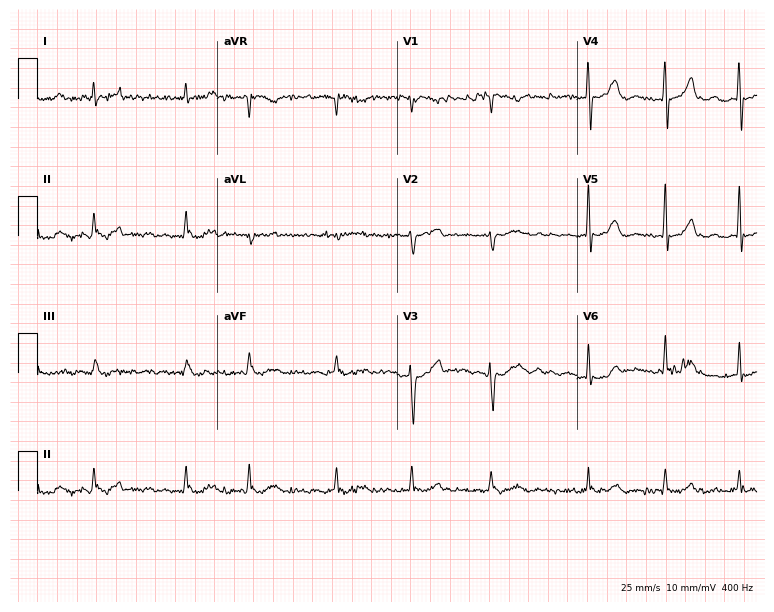
12-lead ECG from a 59-year-old man. No first-degree AV block, right bundle branch block (RBBB), left bundle branch block (LBBB), sinus bradycardia, atrial fibrillation (AF) or sinus tachycardia recorded for this tracing.